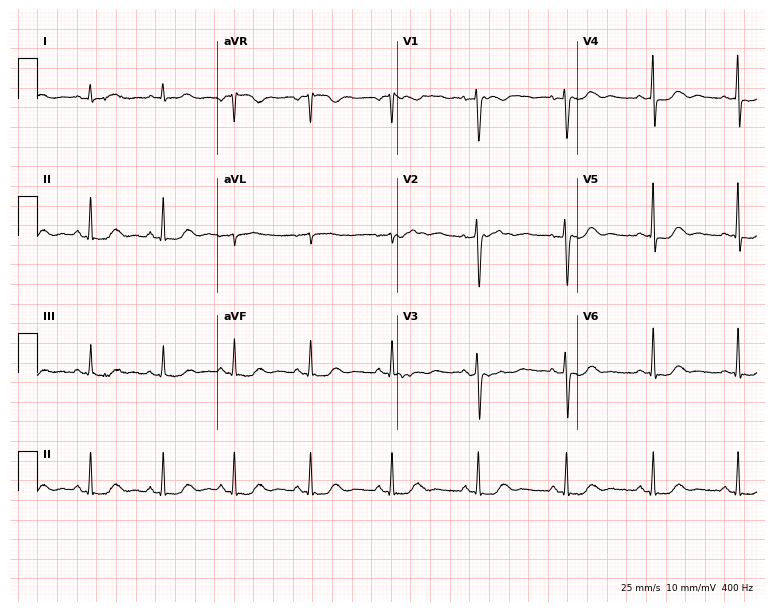
Standard 12-lead ECG recorded from a female patient, 39 years old. None of these six findings is recorded: first-degree AV block, right bundle branch block, left bundle branch block, sinus bradycardia, atrial fibrillation, sinus tachycardia. Findings outside these six are not listed.